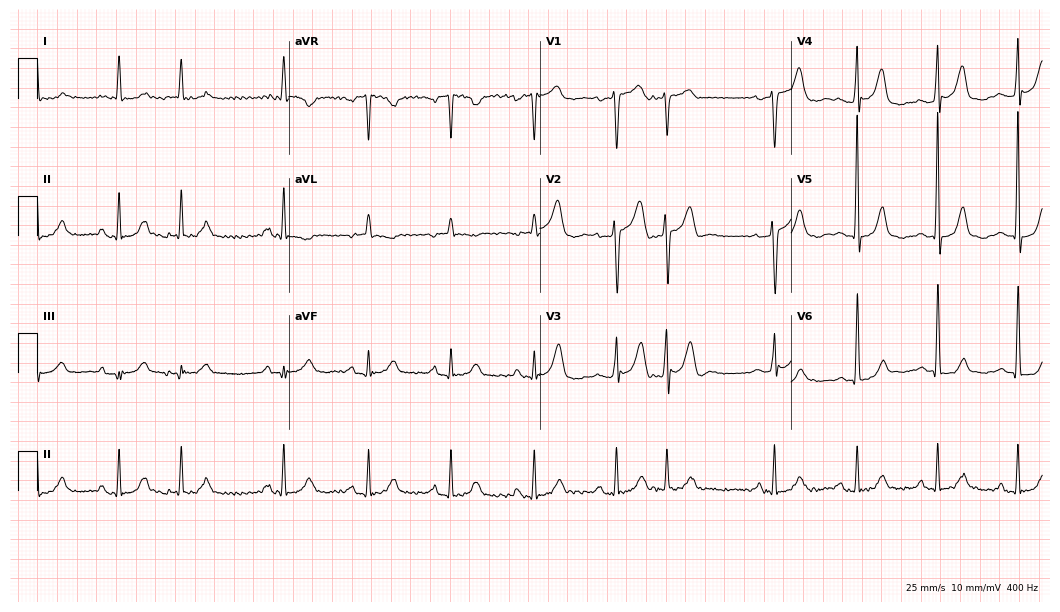
12-lead ECG (10.2-second recording at 400 Hz) from a female patient, 81 years old. Screened for six findings — first-degree AV block, right bundle branch block, left bundle branch block, sinus bradycardia, atrial fibrillation, sinus tachycardia — none is recorded.